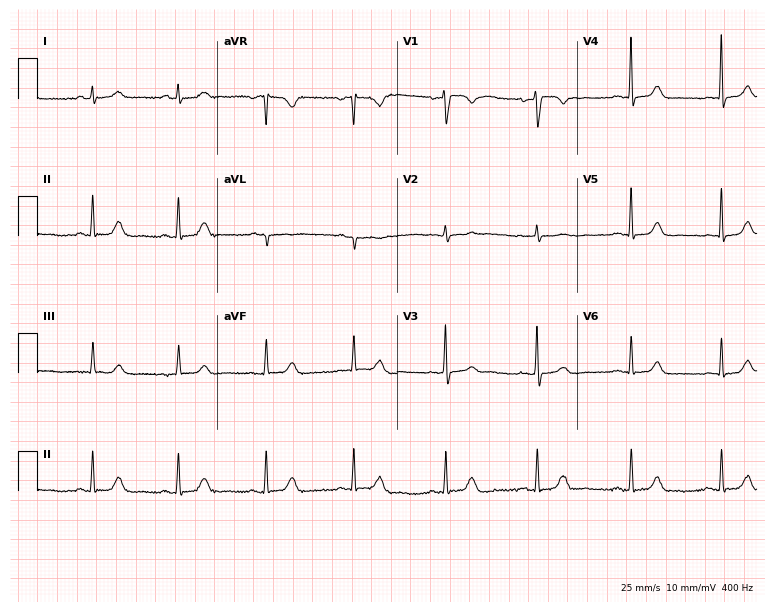
12-lead ECG from a 64-year-old female patient. Labelled as a normal ECG.